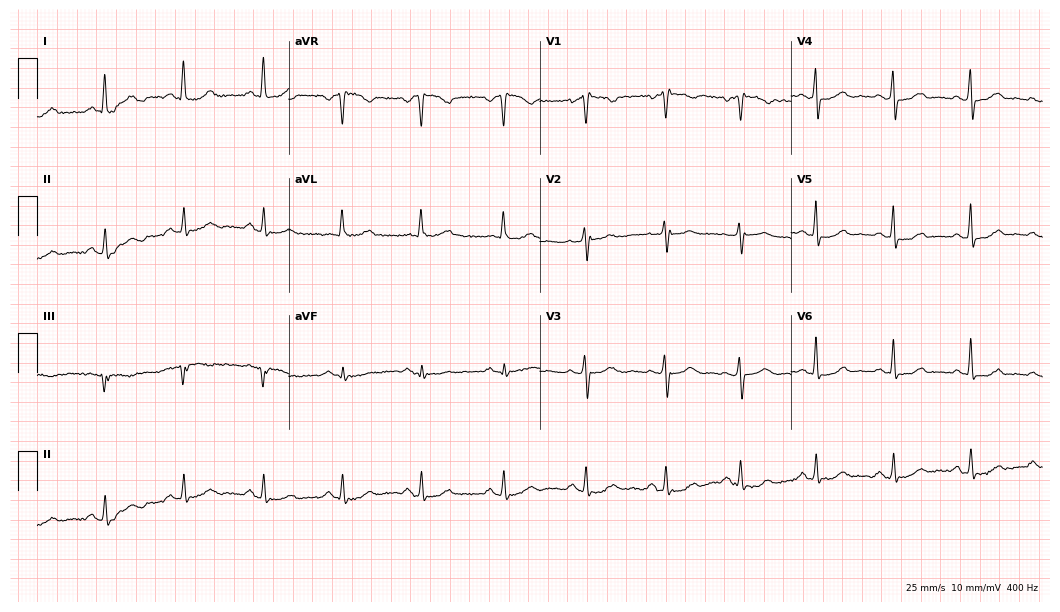
12-lead ECG from a 50-year-old female patient (10.2-second recording at 400 Hz). Recorded interpretation: within normal limits.